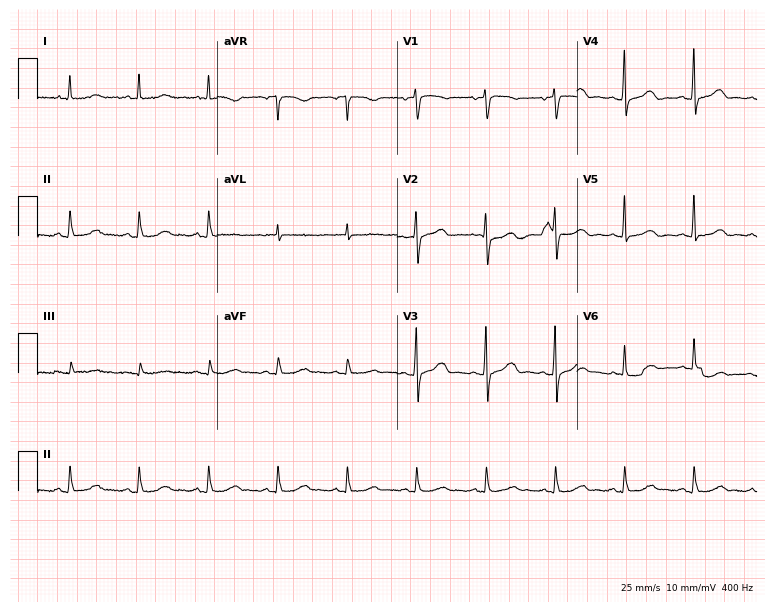
12-lead ECG from a 70-year-old woman (7.3-second recording at 400 Hz). Recorded interpretation: within normal limits.